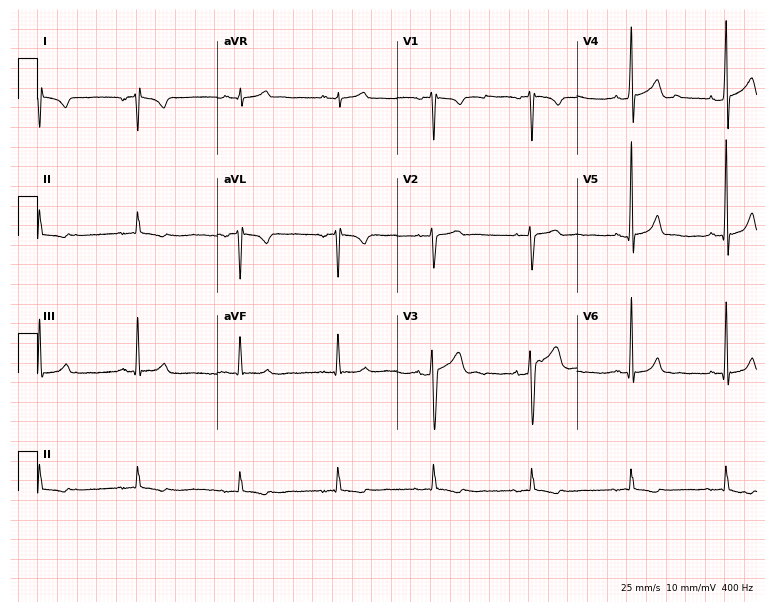
Electrocardiogram, a 32-year-old male. Of the six screened findings (first-degree AV block, right bundle branch block, left bundle branch block, sinus bradycardia, atrial fibrillation, sinus tachycardia), none is recorded.